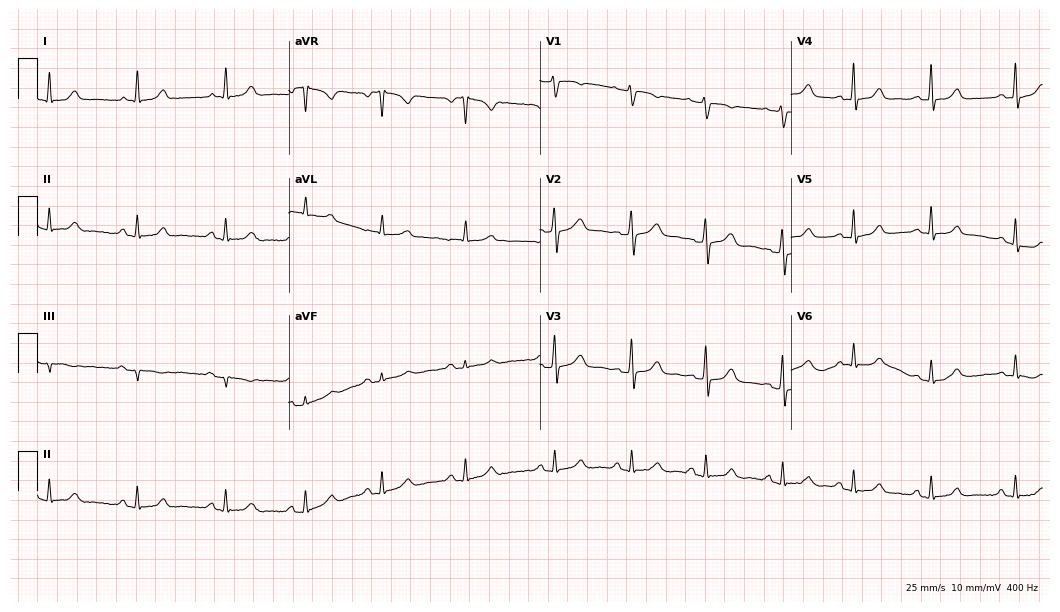
12-lead ECG from a 43-year-old female patient (10.2-second recording at 400 Hz). No first-degree AV block, right bundle branch block, left bundle branch block, sinus bradycardia, atrial fibrillation or sinus tachycardia recorded for this tracing.